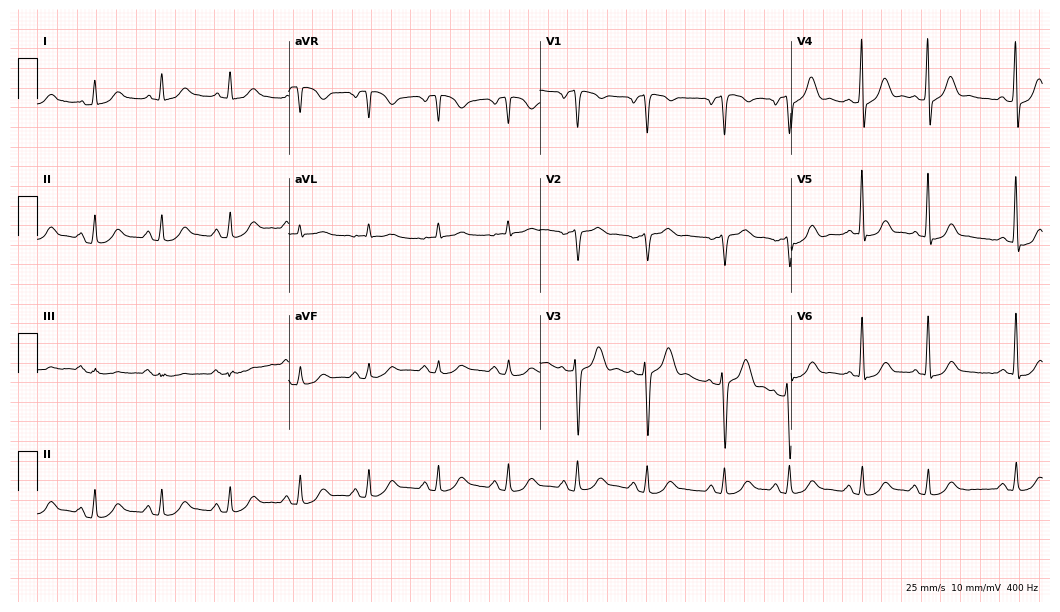
ECG — a male, 47 years old. Screened for six findings — first-degree AV block, right bundle branch block, left bundle branch block, sinus bradycardia, atrial fibrillation, sinus tachycardia — none is recorded.